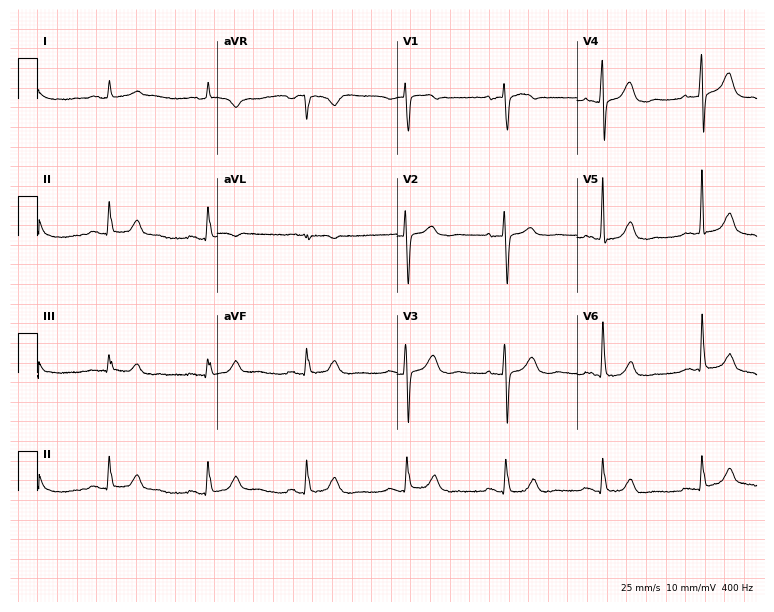
Standard 12-lead ECG recorded from a 71-year-old female patient. None of these six findings is recorded: first-degree AV block, right bundle branch block, left bundle branch block, sinus bradycardia, atrial fibrillation, sinus tachycardia.